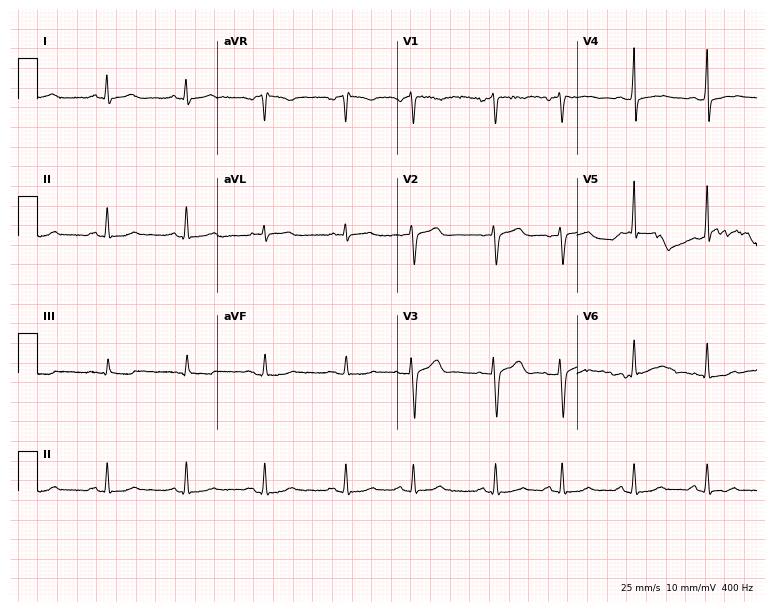
12-lead ECG from a 46-year-old male patient (7.3-second recording at 400 Hz). No first-degree AV block, right bundle branch block, left bundle branch block, sinus bradycardia, atrial fibrillation or sinus tachycardia recorded for this tracing.